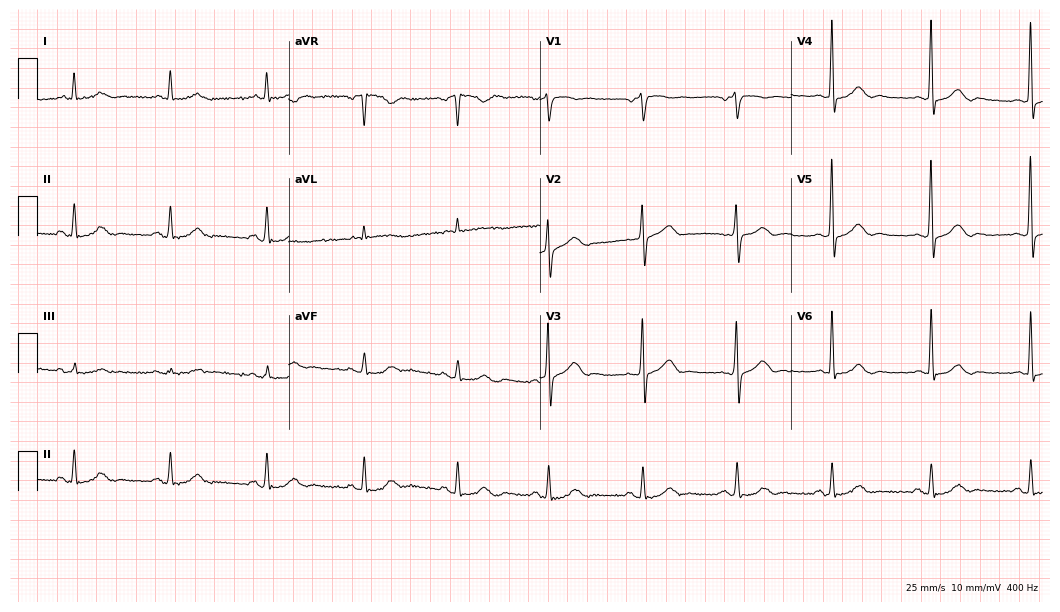
Standard 12-lead ECG recorded from a 74-year-old man. Read as a normal ECG.